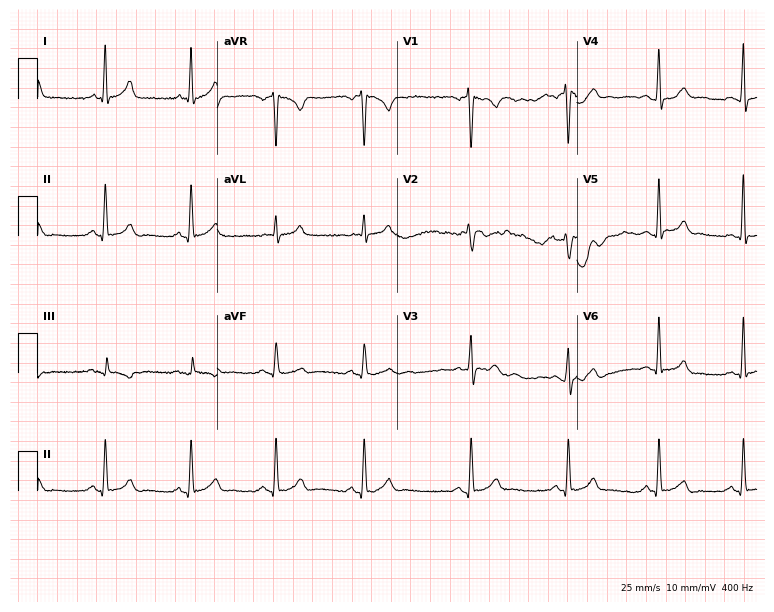
Resting 12-lead electrocardiogram. Patient: a male, 37 years old. Read as a normal ECG.